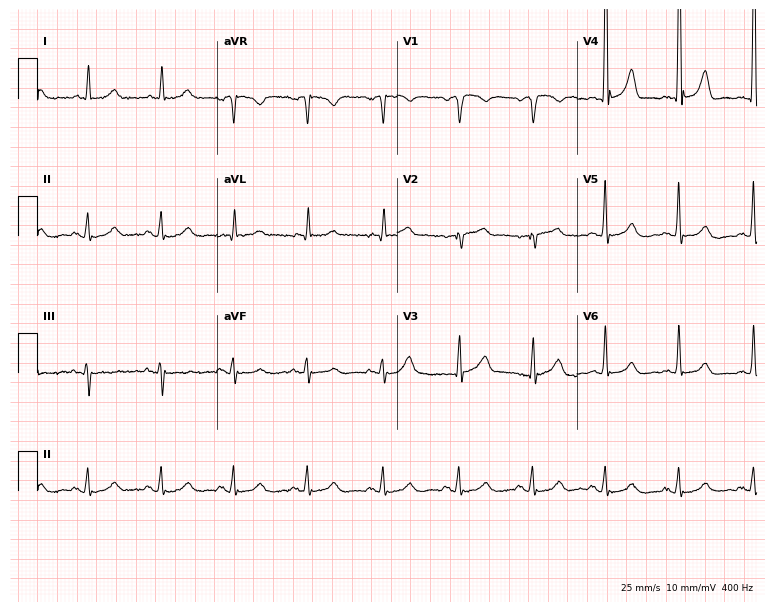
ECG (7.3-second recording at 400 Hz) — a male, 69 years old. Labelled as a normal ECG.